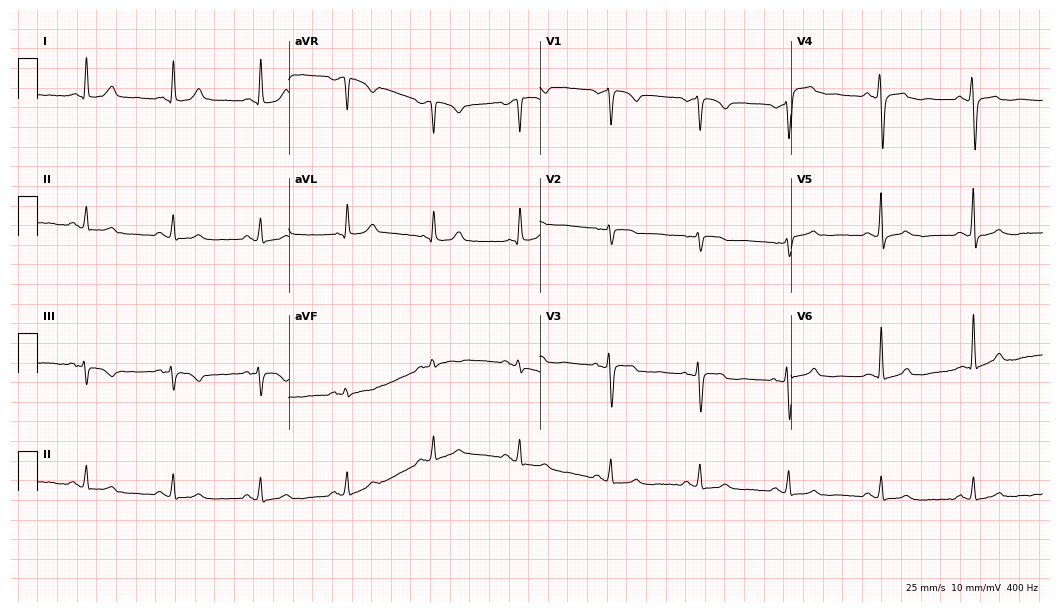
Electrocardiogram, a man, 57 years old. Overall reading on record: normal ECG.